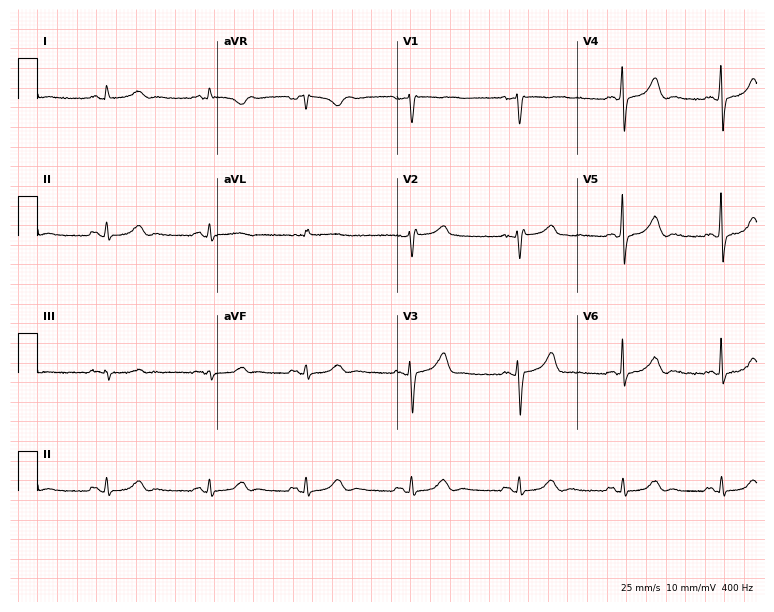
Resting 12-lead electrocardiogram (7.3-second recording at 400 Hz). Patient: a 50-year-old female. Read as a normal ECG.